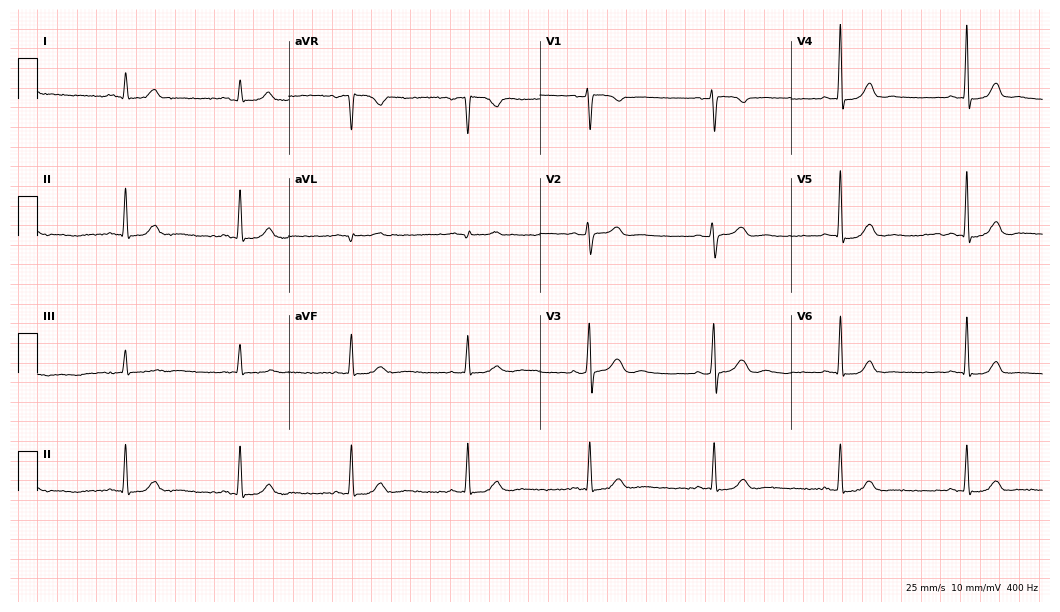
Standard 12-lead ECG recorded from a female patient, 48 years old (10.2-second recording at 400 Hz). The tracing shows sinus bradycardia (a sinus rate of 50 beats per minute or less).